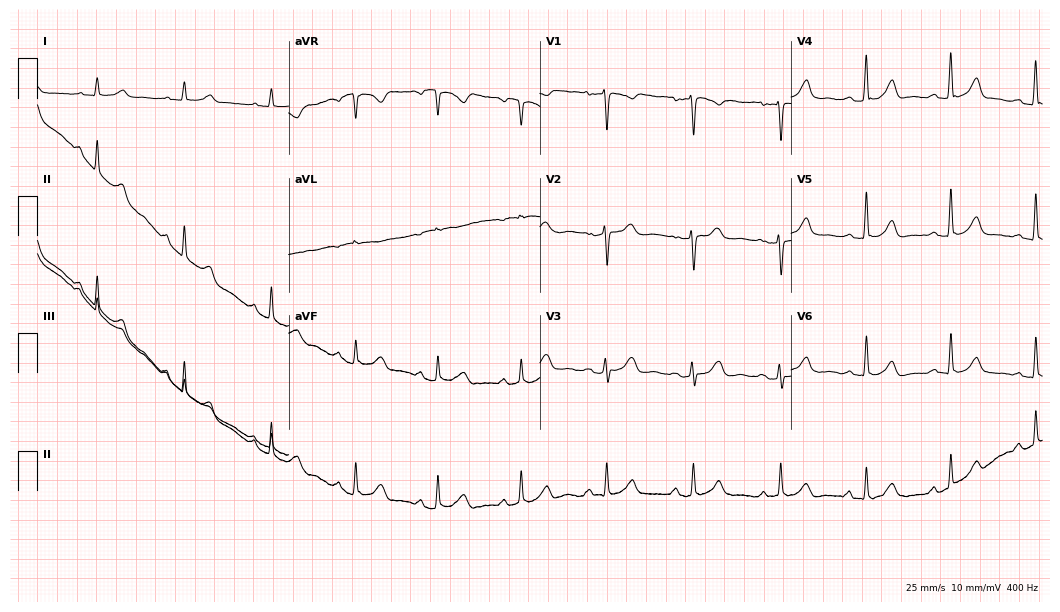
Resting 12-lead electrocardiogram (10.2-second recording at 400 Hz). Patient: a 50-year-old woman. Read as a normal ECG.